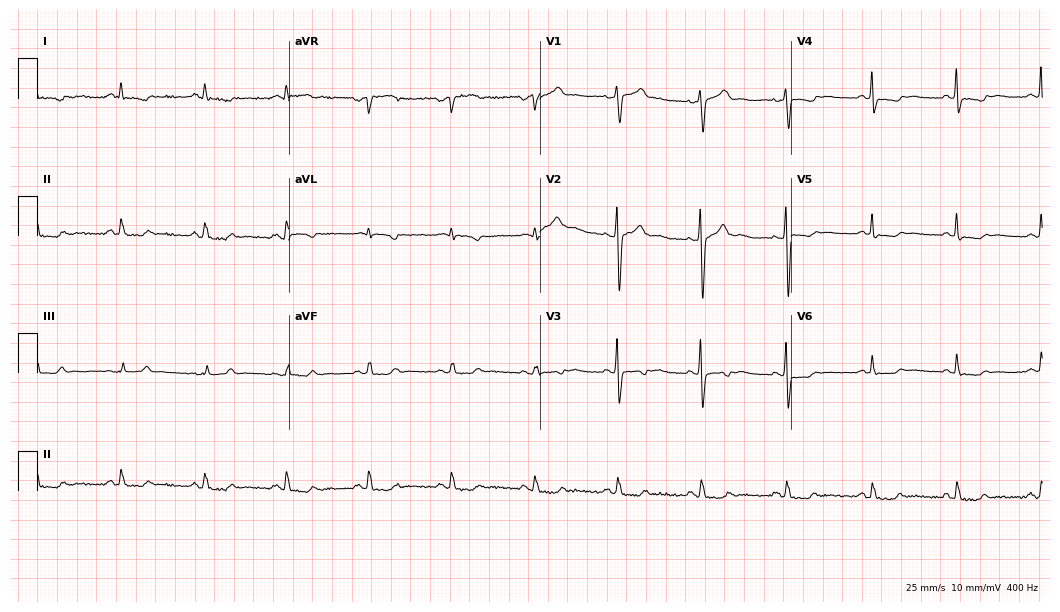
Standard 12-lead ECG recorded from a female, 64 years old (10.2-second recording at 400 Hz). None of these six findings is recorded: first-degree AV block, right bundle branch block (RBBB), left bundle branch block (LBBB), sinus bradycardia, atrial fibrillation (AF), sinus tachycardia. Only these six findings were labelled.